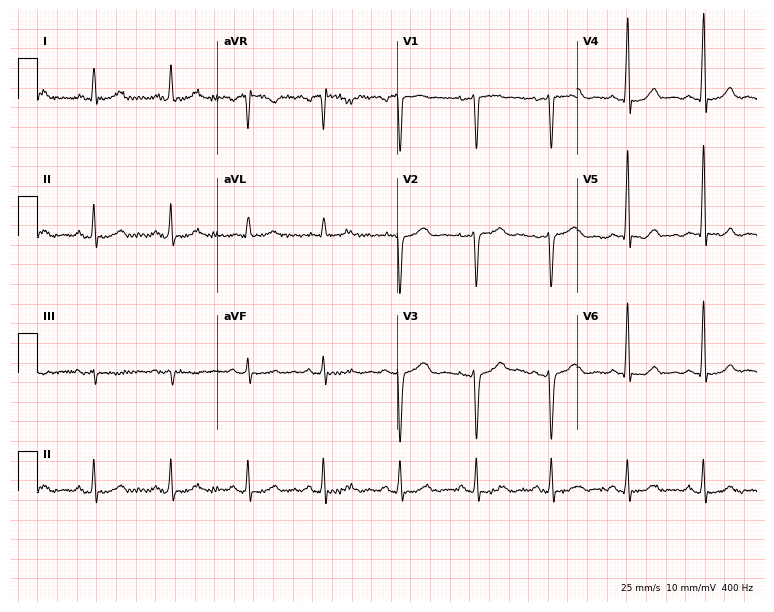
Resting 12-lead electrocardiogram. Patient: a female, 43 years old. None of these six findings is recorded: first-degree AV block, right bundle branch block, left bundle branch block, sinus bradycardia, atrial fibrillation, sinus tachycardia. Findings outside these six are not listed.